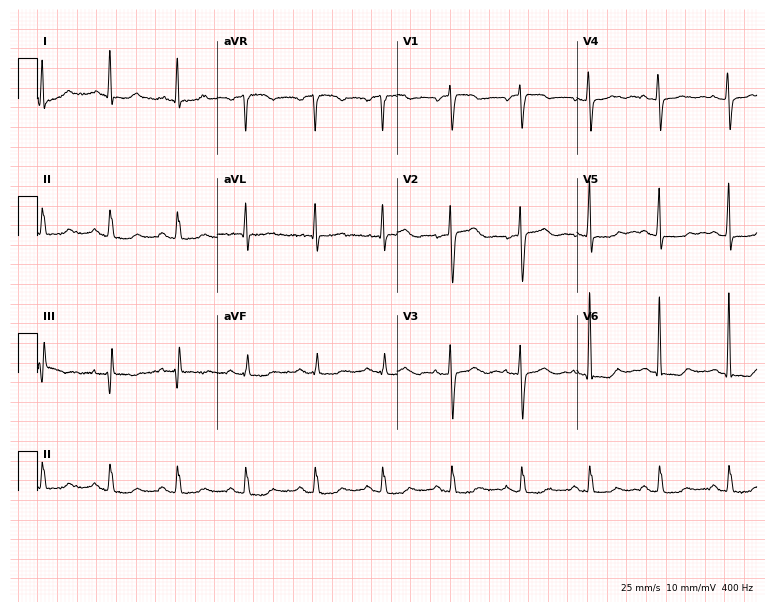
Standard 12-lead ECG recorded from a 74-year-old female (7.3-second recording at 400 Hz). None of these six findings is recorded: first-degree AV block, right bundle branch block (RBBB), left bundle branch block (LBBB), sinus bradycardia, atrial fibrillation (AF), sinus tachycardia. Findings outside these six are not listed.